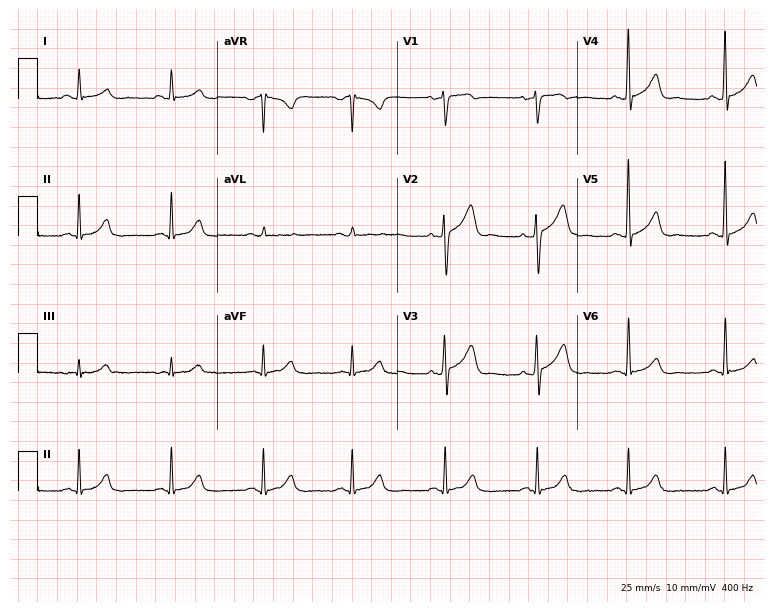
ECG (7.3-second recording at 400 Hz) — a male patient, 39 years old. Labelled as a normal ECG.